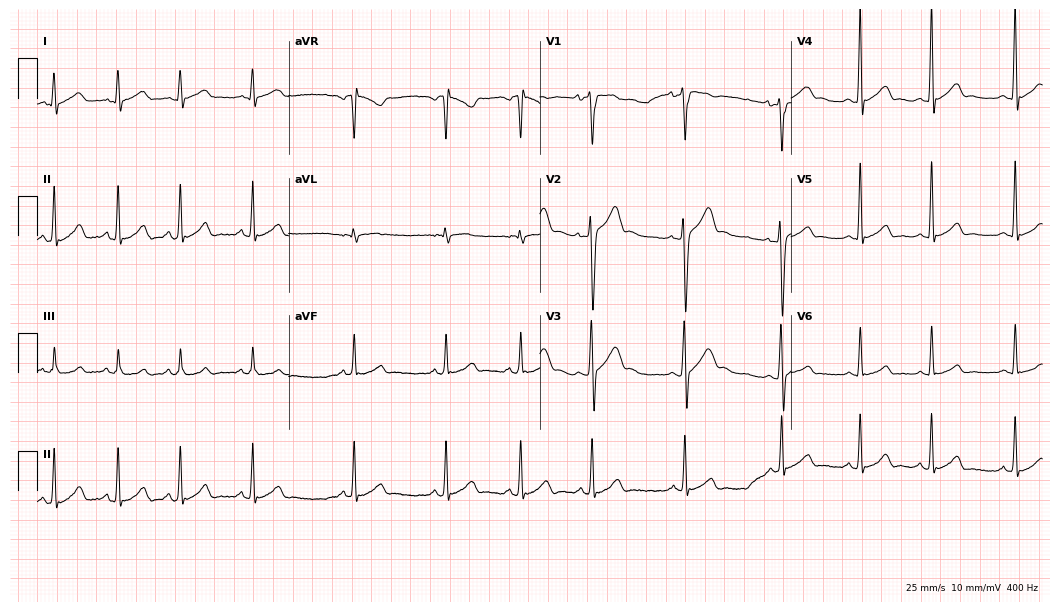
Standard 12-lead ECG recorded from a 17-year-old man (10.2-second recording at 400 Hz). Read as a normal ECG.